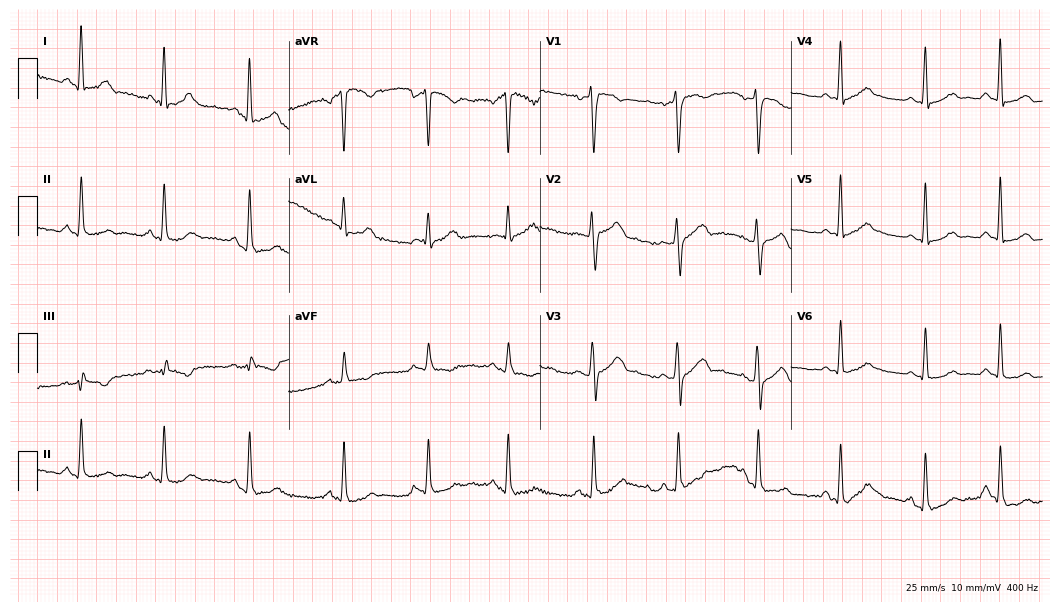
Standard 12-lead ECG recorded from a female patient, 33 years old (10.2-second recording at 400 Hz). Read as a normal ECG.